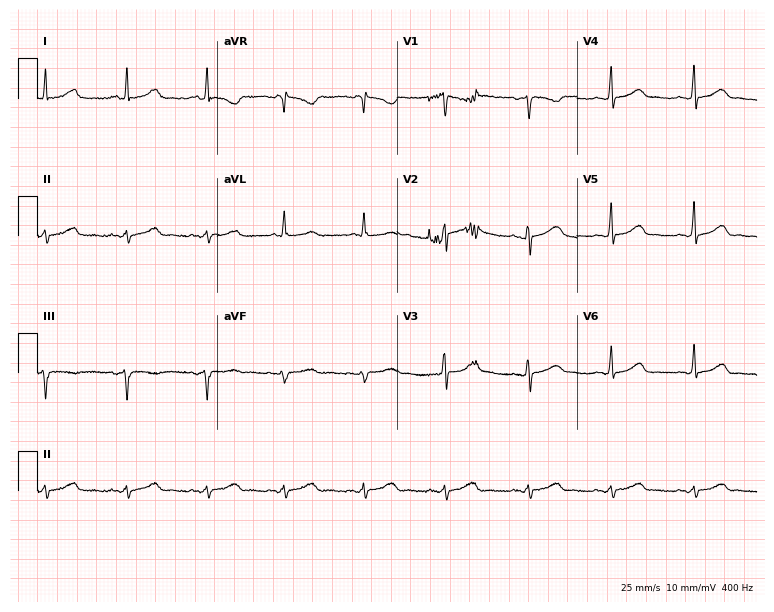
Electrocardiogram (7.3-second recording at 400 Hz), a female, 39 years old. Of the six screened findings (first-degree AV block, right bundle branch block, left bundle branch block, sinus bradycardia, atrial fibrillation, sinus tachycardia), none is recorded. Only these six findings were labelled.